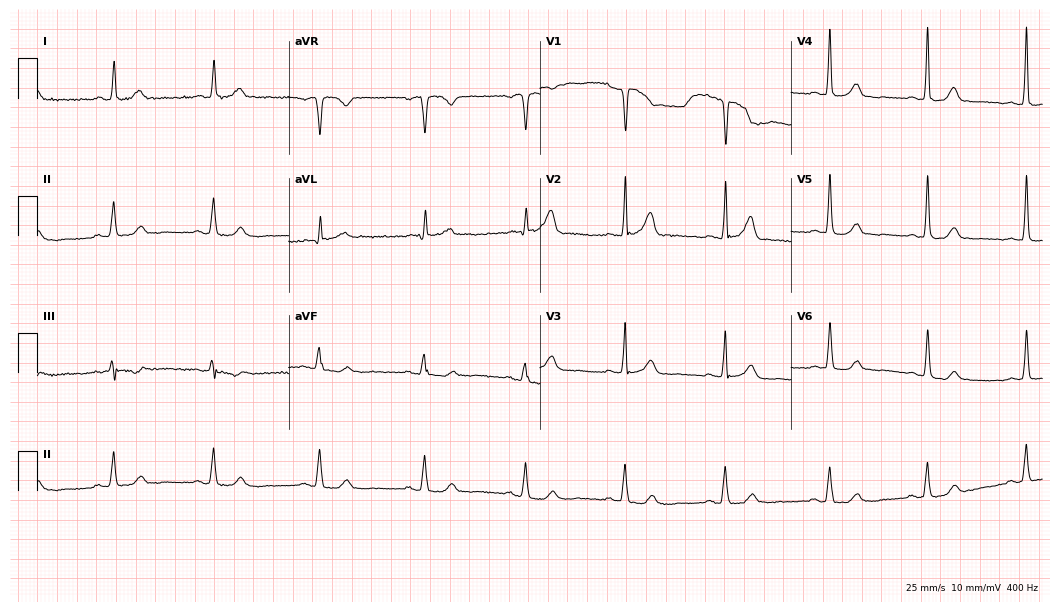
Electrocardiogram, a 72-year-old female patient. Overall reading on record: normal ECG.